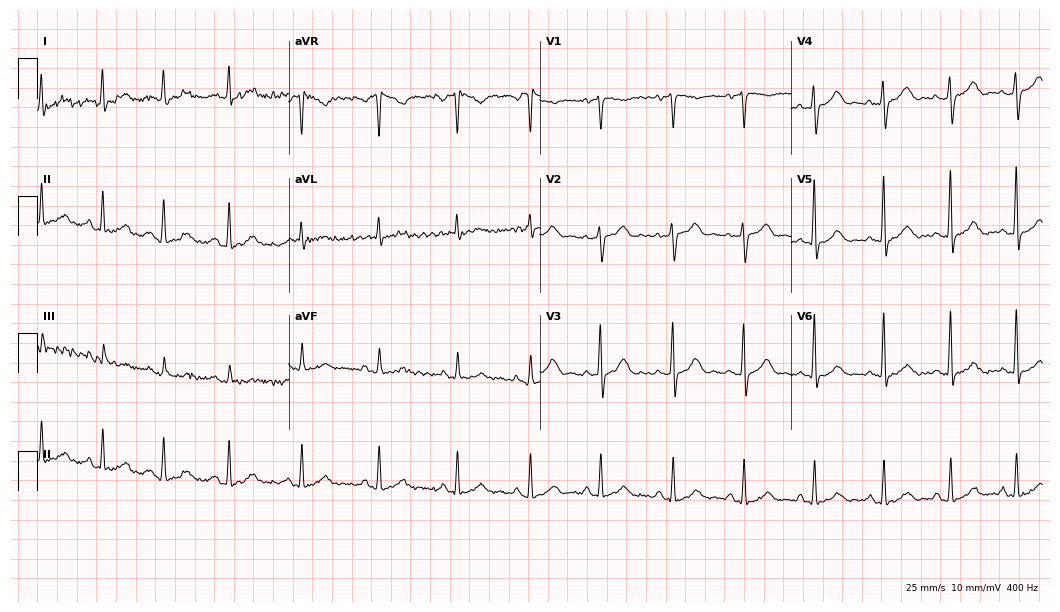
12-lead ECG from a female, 45 years old. No first-degree AV block, right bundle branch block (RBBB), left bundle branch block (LBBB), sinus bradycardia, atrial fibrillation (AF) or sinus tachycardia recorded for this tracing.